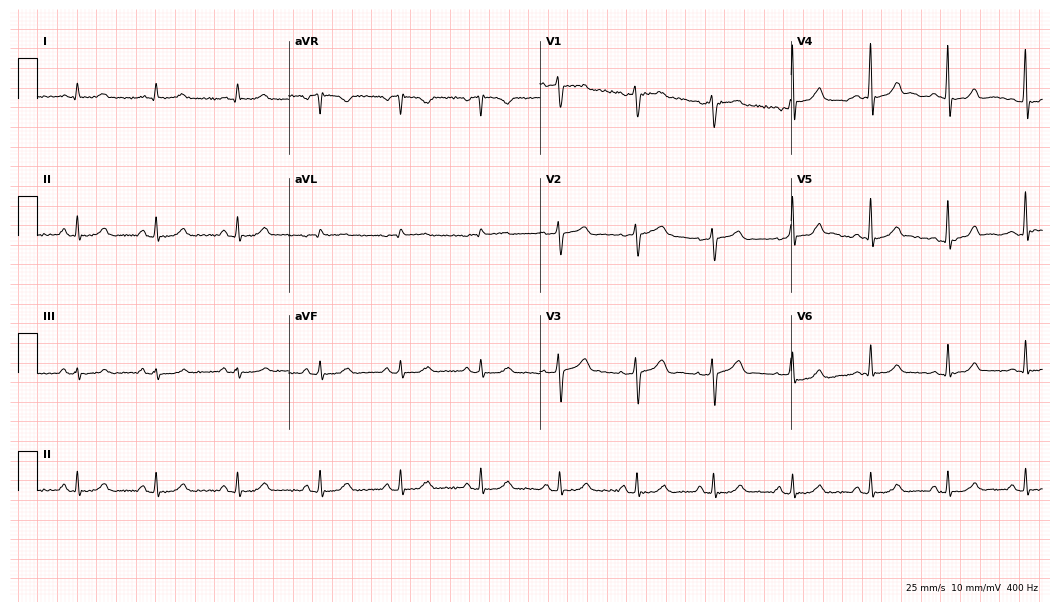
Resting 12-lead electrocardiogram. Patient: a 72-year-old man. Read as a normal ECG.